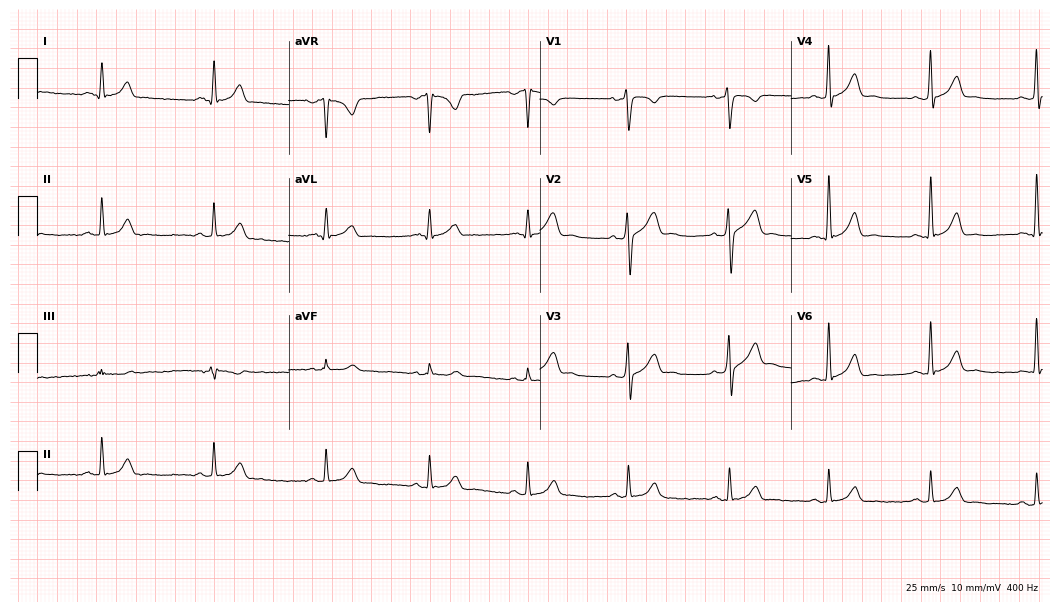
Electrocardiogram, a 36-year-old man. Overall reading on record: normal ECG.